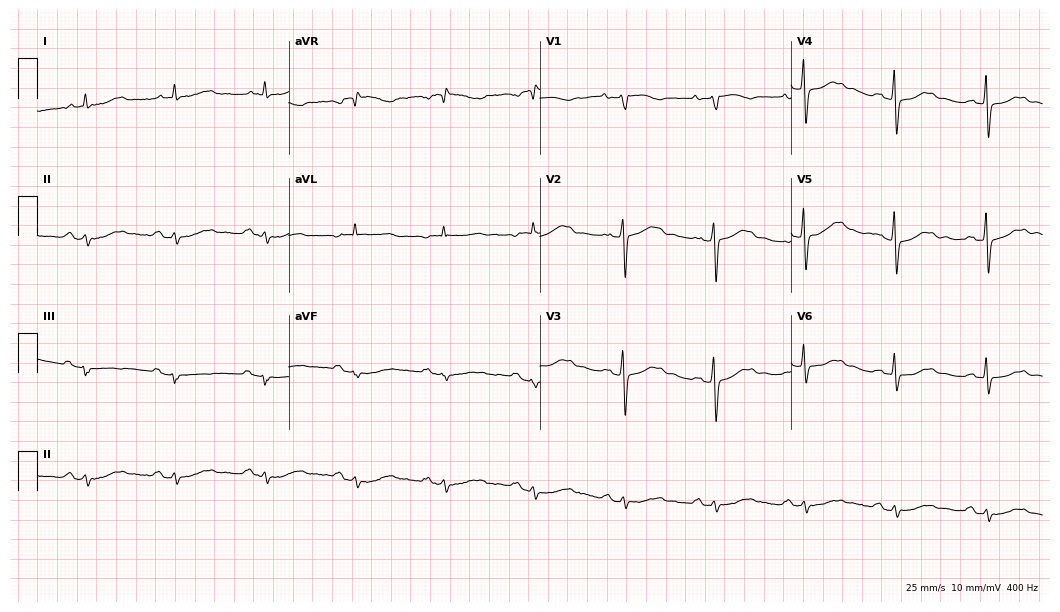
Resting 12-lead electrocardiogram. Patient: a female, 70 years old. None of these six findings is recorded: first-degree AV block, right bundle branch block, left bundle branch block, sinus bradycardia, atrial fibrillation, sinus tachycardia. Other findings, if any, are not listed.